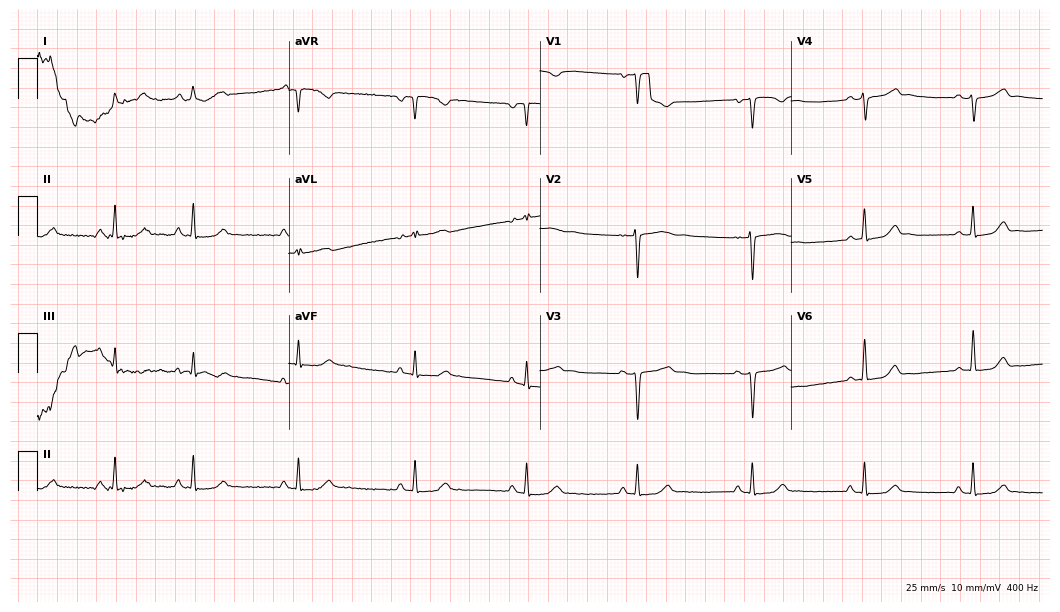
Electrocardiogram, a woman, 23 years old. Of the six screened findings (first-degree AV block, right bundle branch block (RBBB), left bundle branch block (LBBB), sinus bradycardia, atrial fibrillation (AF), sinus tachycardia), none is recorded. Only these six findings were labelled.